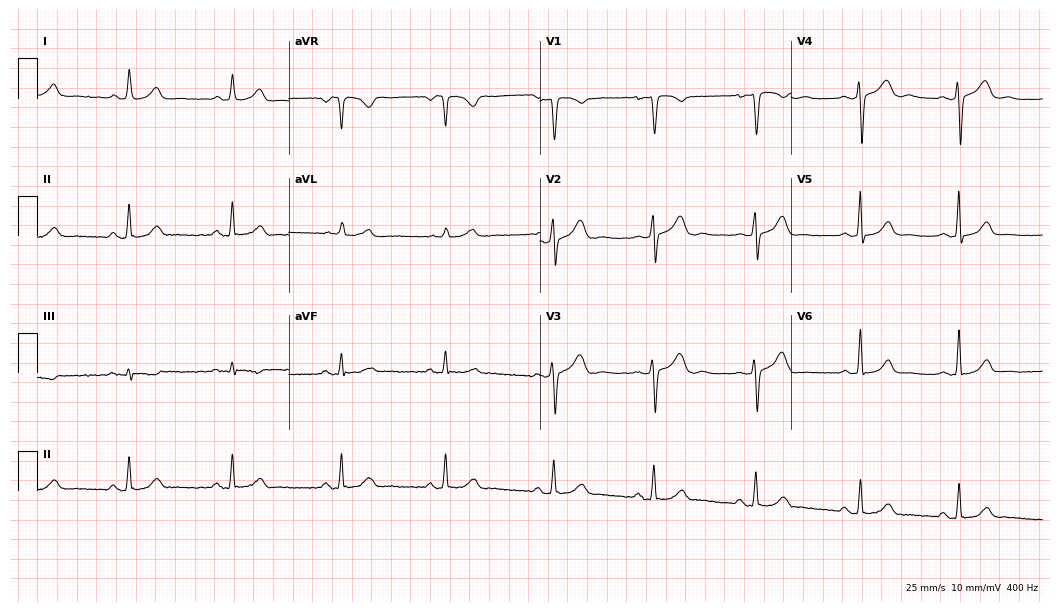
12-lead ECG from a 41-year-old female (10.2-second recording at 400 Hz). No first-degree AV block, right bundle branch block, left bundle branch block, sinus bradycardia, atrial fibrillation or sinus tachycardia recorded for this tracing. Only these six findings were labelled.